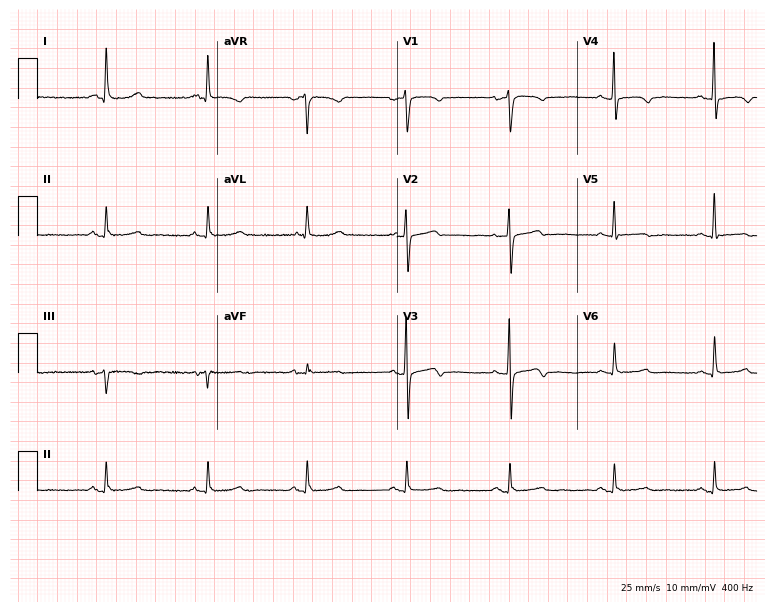
Electrocardiogram, a female patient, 53 years old. Of the six screened findings (first-degree AV block, right bundle branch block, left bundle branch block, sinus bradycardia, atrial fibrillation, sinus tachycardia), none is recorded.